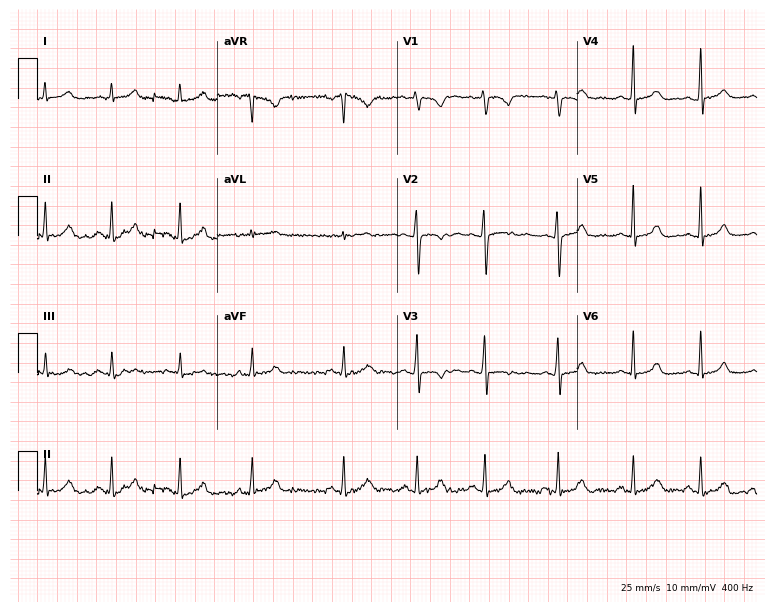
12-lead ECG (7.3-second recording at 400 Hz) from a female patient, 18 years old. Screened for six findings — first-degree AV block, right bundle branch block, left bundle branch block, sinus bradycardia, atrial fibrillation, sinus tachycardia — none is recorded. Only these six findings were labelled.